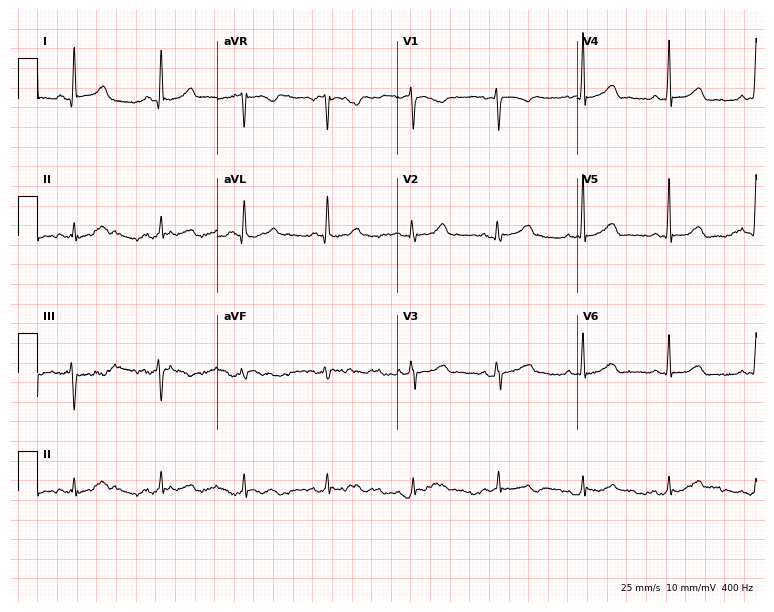
12-lead ECG from a 35-year-old woman. Recorded interpretation: within normal limits.